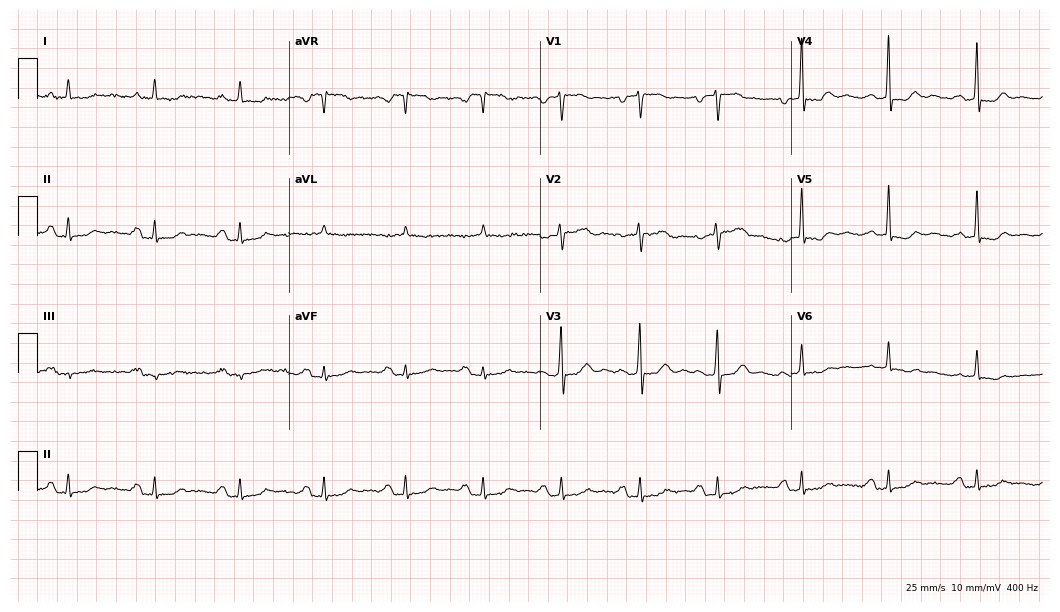
Resting 12-lead electrocardiogram. Patient: a 64-year-old woman. Read as a normal ECG.